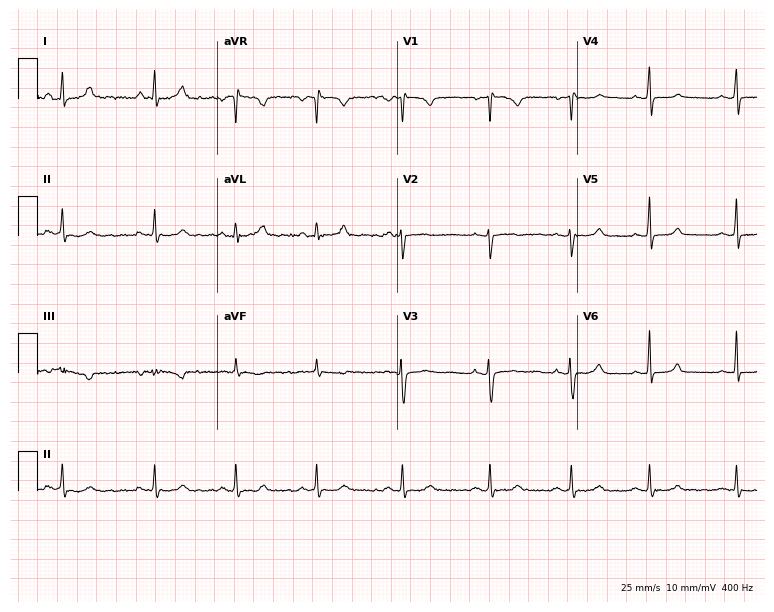
Electrocardiogram (7.3-second recording at 400 Hz), a female, 26 years old. Of the six screened findings (first-degree AV block, right bundle branch block (RBBB), left bundle branch block (LBBB), sinus bradycardia, atrial fibrillation (AF), sinus tachycardia), none is recorded. Only these six findings were labelled.